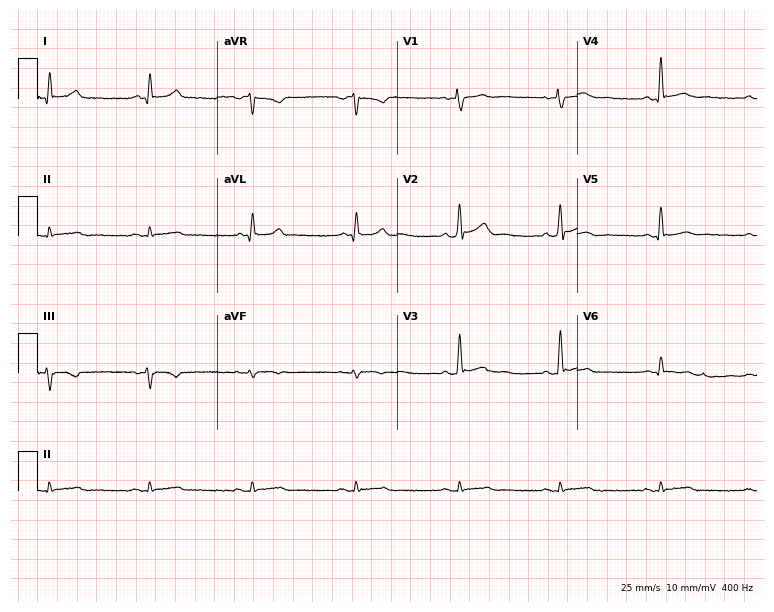
12-lead ECG from a 50-year-old man (7.3-second recording at 400 Hz). No first-degree AV block, right bundle branch block (RBBB), left bundle branch block (LBBB), sinus bradycardia, atrial fibrillation (AF) or sinus tachycardia recorded for this tracing. Only these six findings were labelled.